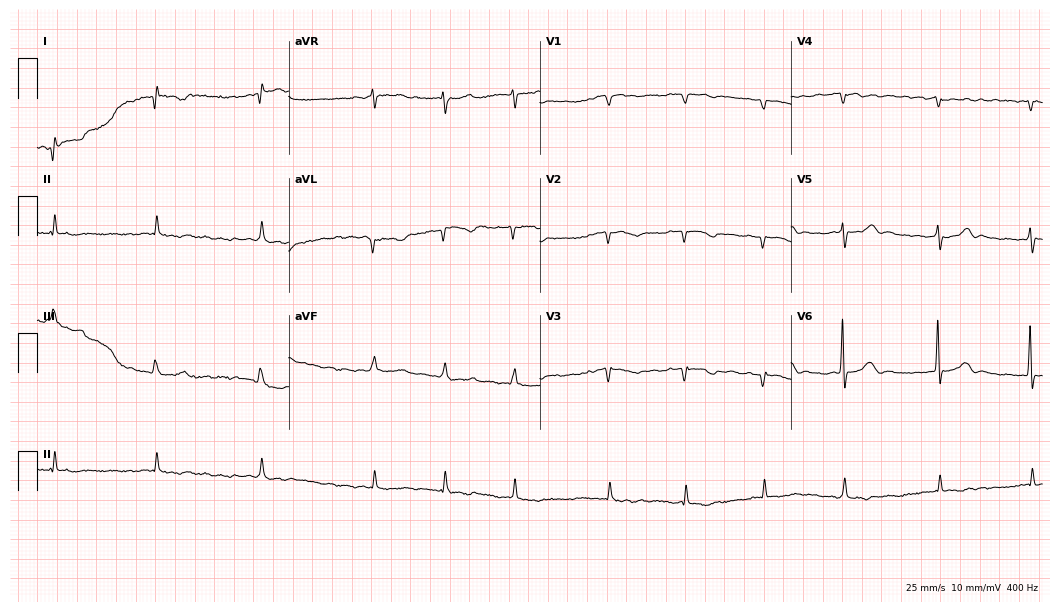
ECG (10.2-second recording at 400 Hz) — a woman, 82 years old. Screened for six findings — first-degree AV block, right bundle branch block, left bundle branch block, sinus bradycardia, atrial fibrillation, sinus tachycardia — none is recorded. Other findings, if any, are not listed.